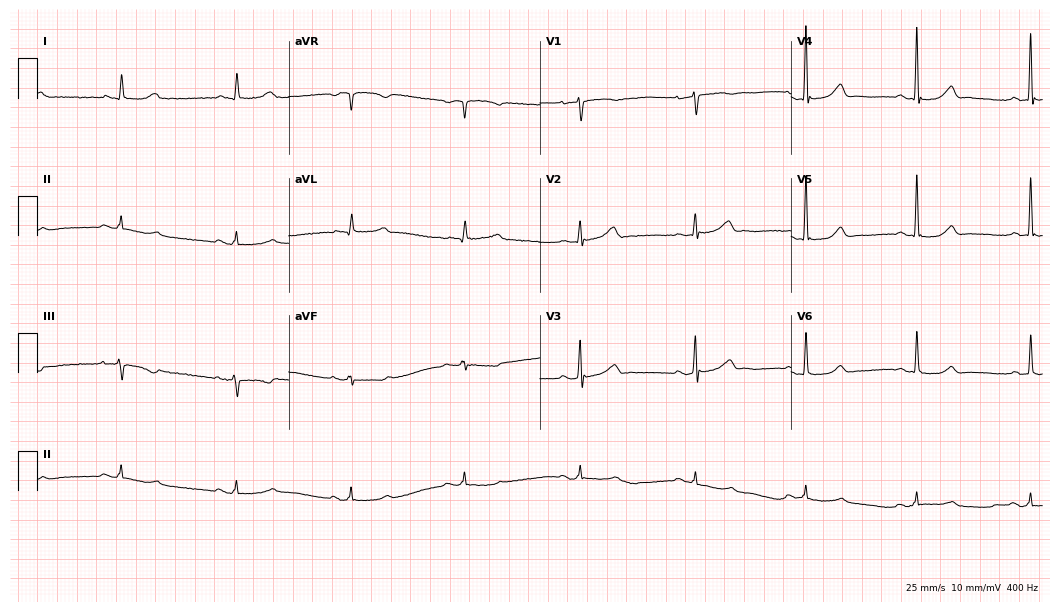
Resting 12-lead electrocardiogram. Patient: a 67-year-old female. Read as a normal ECG.